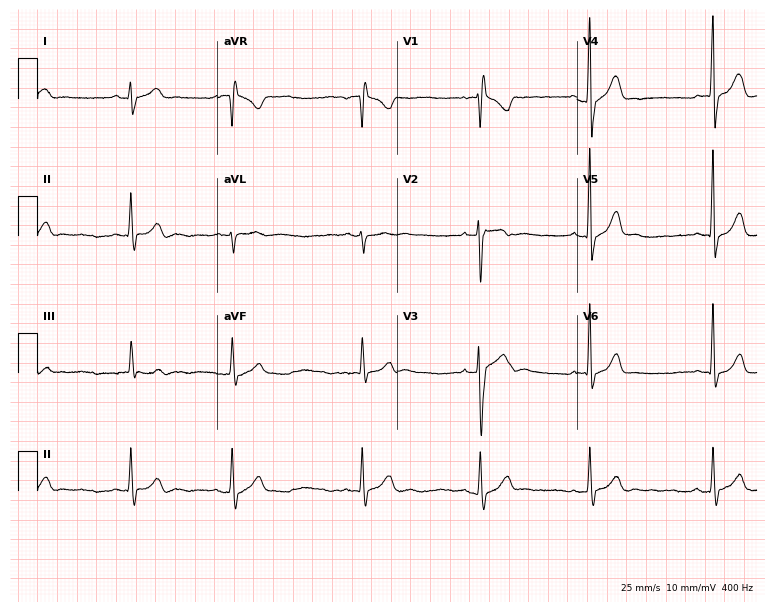
ECG (7.3-second recording at 400 Hz) — a 20-year-old male patient. Screened for six findings — first-degree AV block, right bundle branch block, left bundle branch block, sinus bradycardia, atrial fibrillation, sinus tachycardia — none is recorded. Only these six findings were labelled.